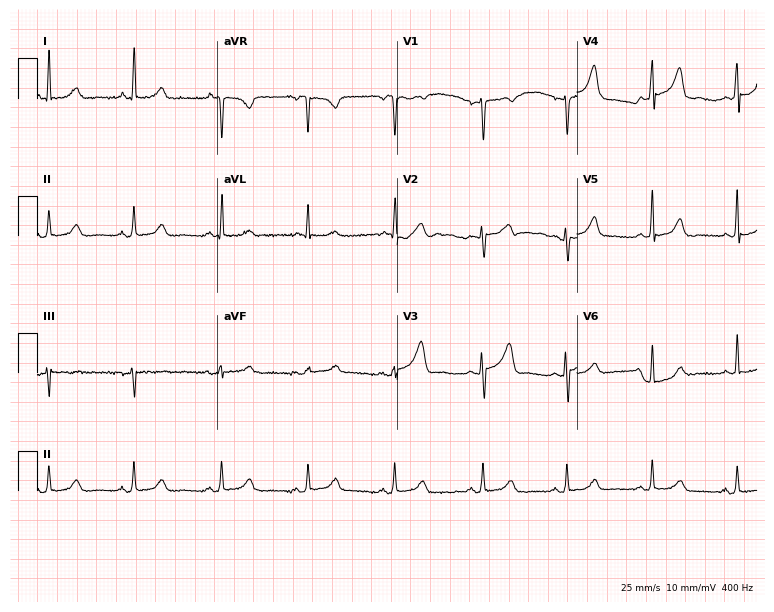
12-lead ECG from a 43-year-old woman. Recorded interpretation: within normal limits.